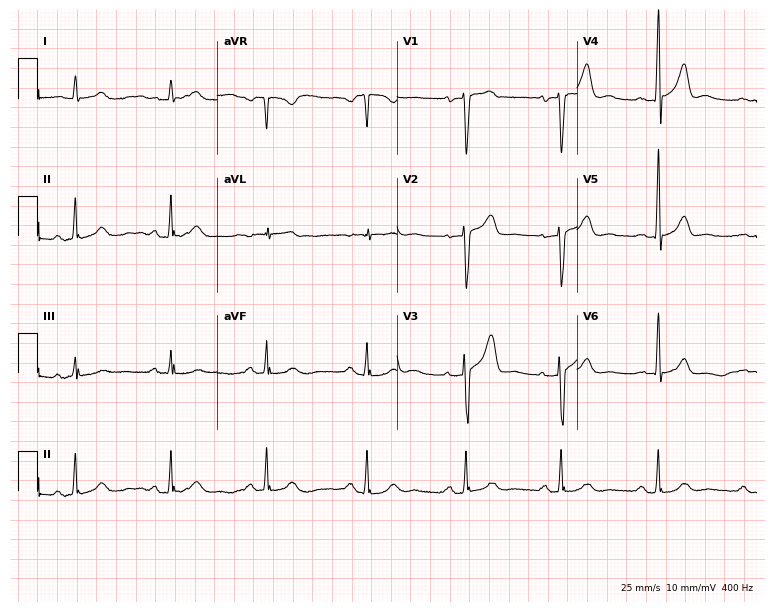
12-lead ECG from a female patient, 78 years old (7.3-second recording at 400 Hz). Recorded interpretation: within normal limits.